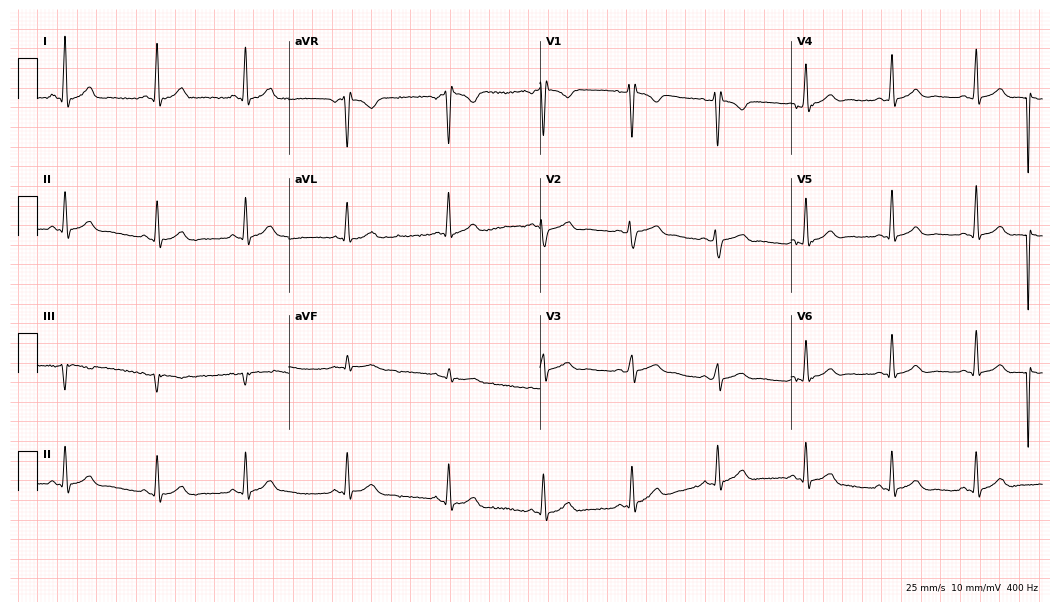
Resting 12-lead electrocardiogram. Patient: a female, 31 years old. None of these six findings is recorded: first-degree AV block, right bundle branch block, left bundle branch block, sinus bradycardia, atrial fibrillation, sinus tachycardia.